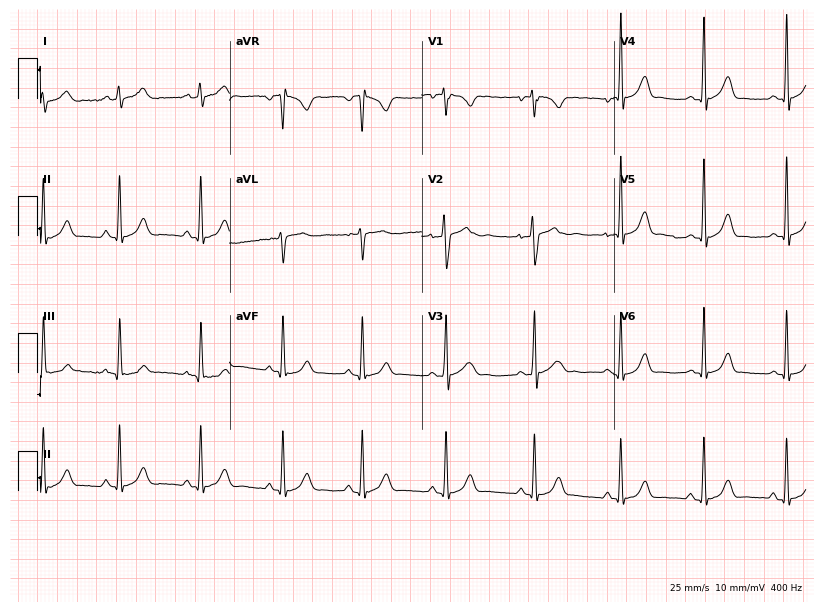
ECG — a 17-year-old female. Labelled as a normal ECG.